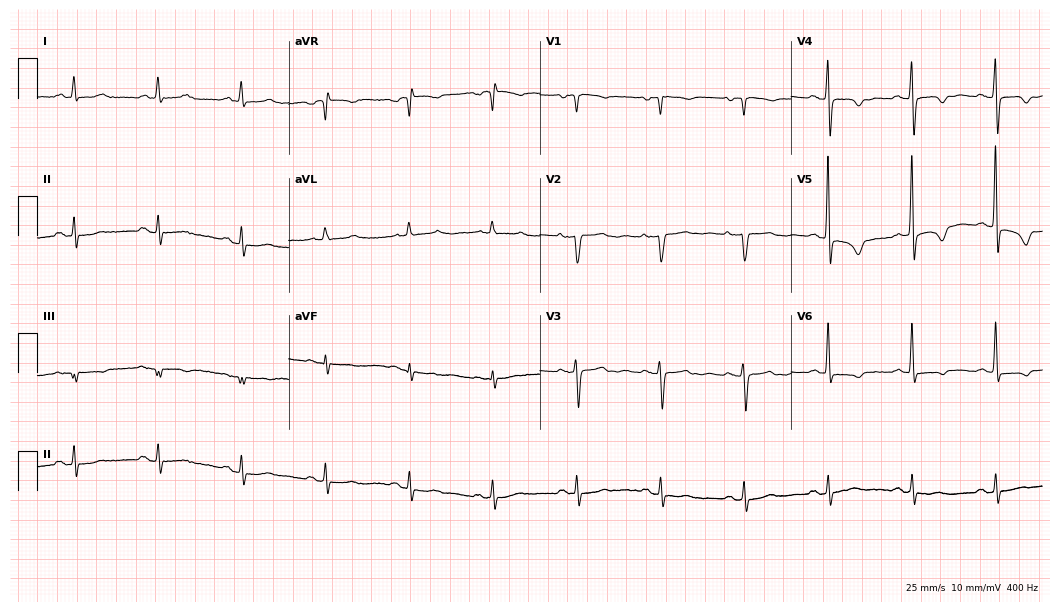
ECG (10.2-second recording at 400 Hz) — a female patient, 84 years old. Screened for six findings — first-degree AV block, right bundle branch block, left bundle branch block, sinus bradycardia, atrial fibrillation, sinus tachycardia — none is recorded. Other findings, if any, are not listed.